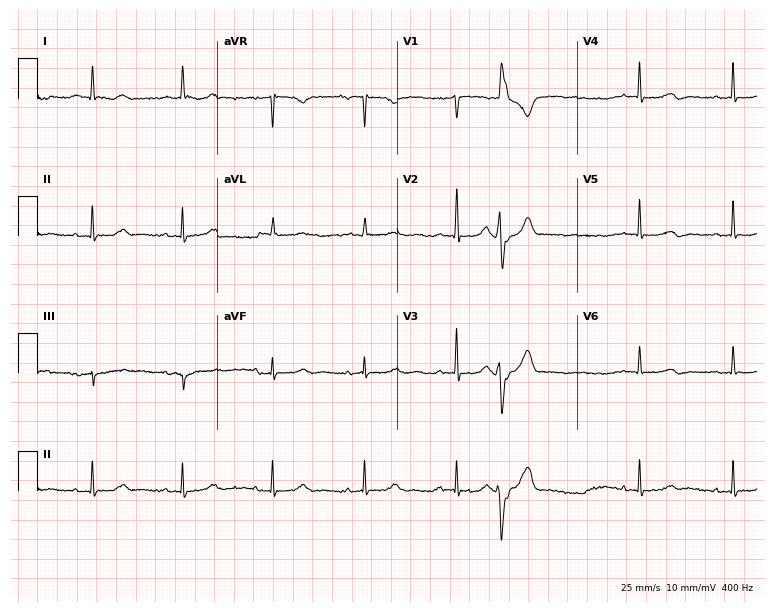
12-lead ECG from a female patient, 83 years old. Screened for six findings — first-degree AV block, right bundle branch block, left bundle branch block, sinus bradycardia, atrial fibrillation, sinus tachycardia — none is recorded. Findings outside these six are not listed.